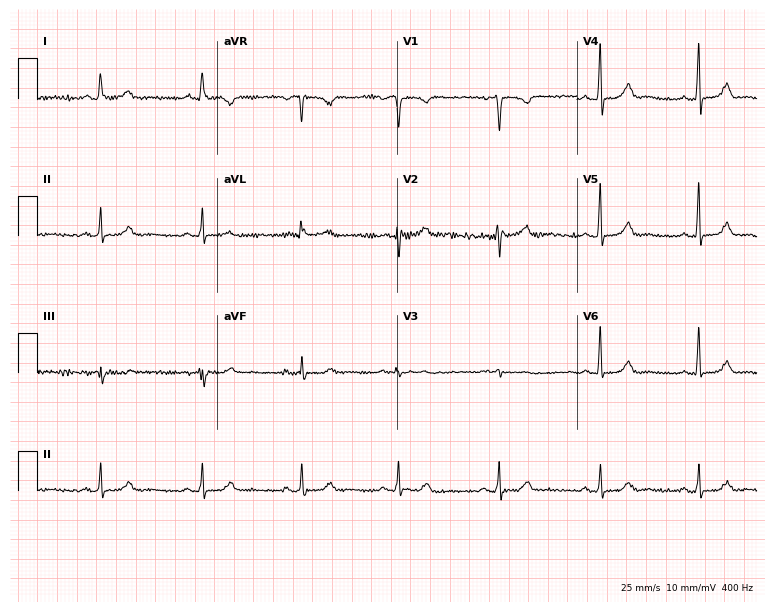
12-lead ECG (7.3-second recording at 400 Hz) from a 54-year-old female patient. Screened for six findings — first-degree AV block, right bundle branch block, left bundle branch block, sinus bradycardia, atrial fibrillation, sinus tachycardia — none is recorded. Other findings, if any, are not listed.